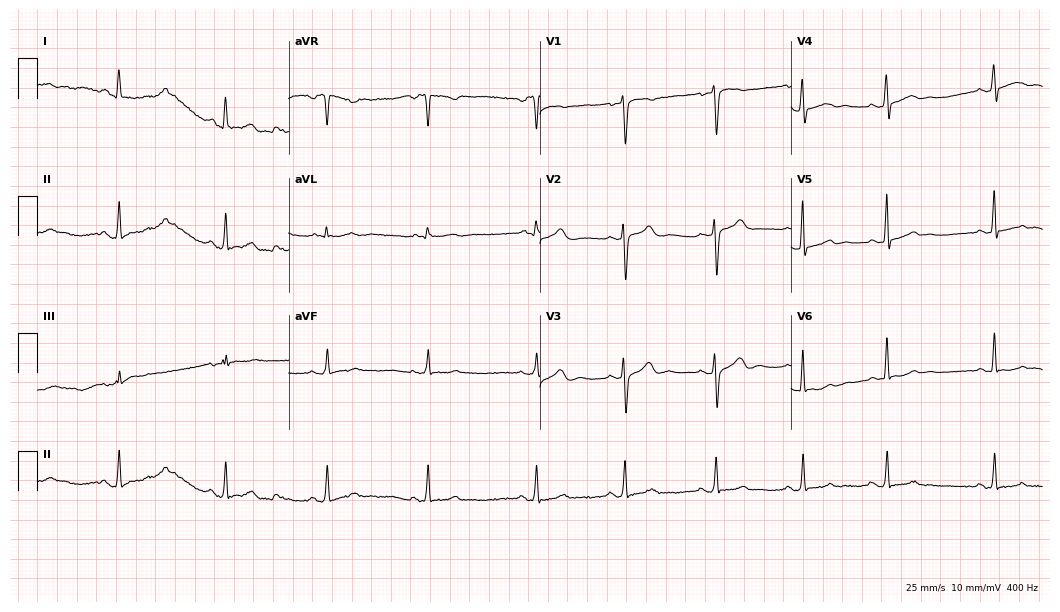
Resting 12-lead electrocardiogram. Patient: a 23-year-old woman. None of these six findings is recorded: first-degree AV block, right bundle branch block, left bundle branch block, sinus bradycardia, atrial fibrillation, sinus tachycardia.